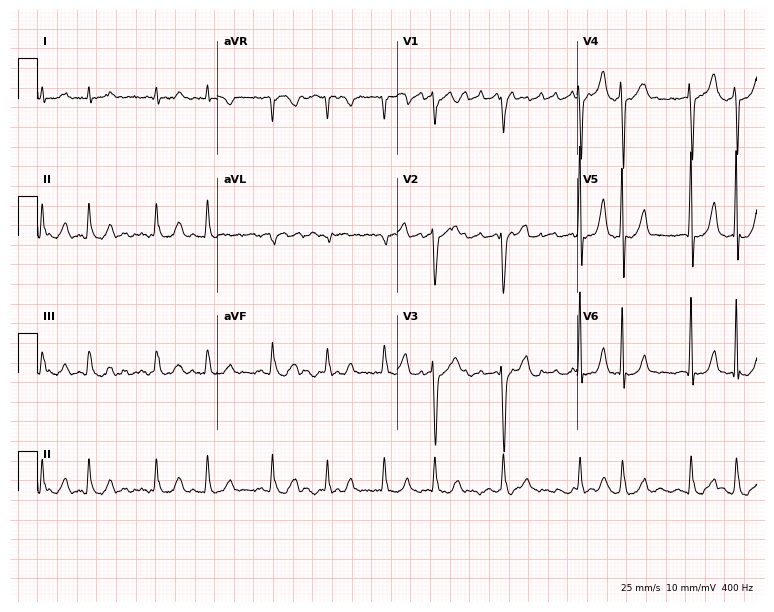
12-lead ECG from a 79-year-old man. Shows atrial fibrillation (AF).